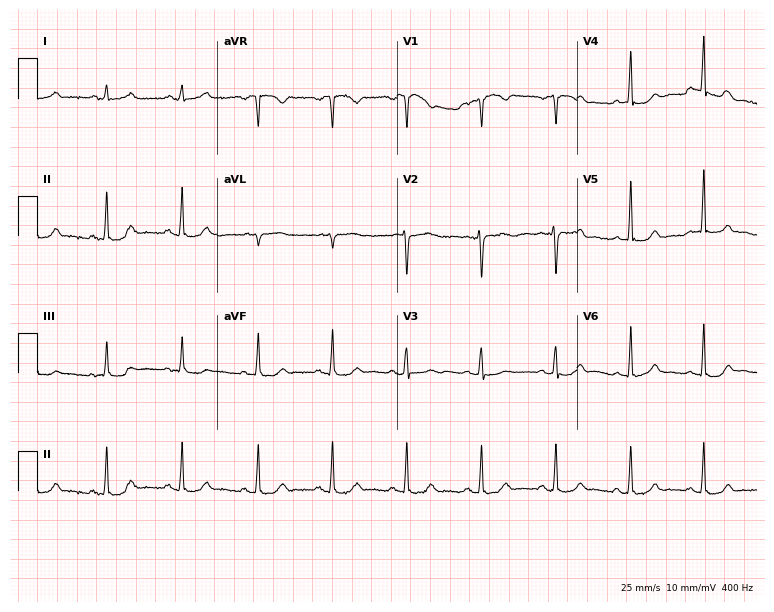
Standard 12-lead ECG recorded from a 33-year-old female. Read as a normal ECG.